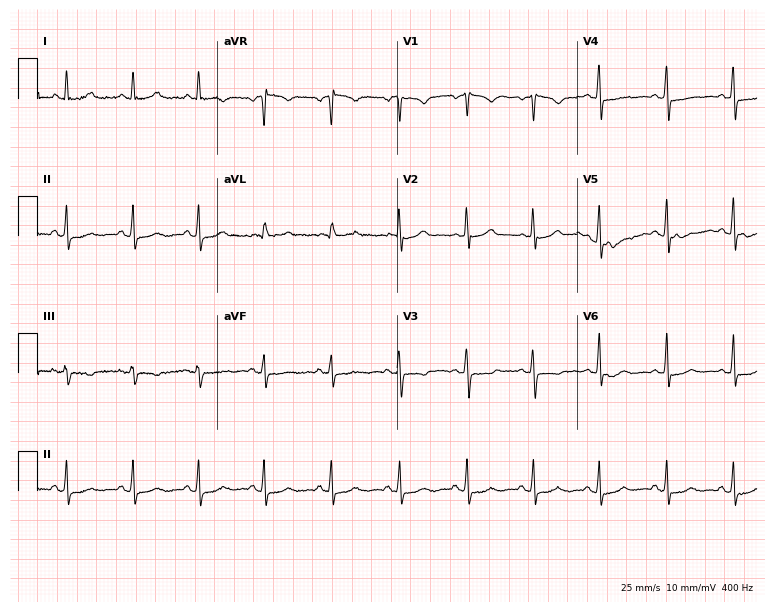
Resting 12-lead electrocardiogram. Patient: a 45-year-old woman. None of these six findings is recorded: first-degree AV block, right bundle branch block, left bundle branch block, sinus bradycardia, atrial fibrillation, sinus tachycardia. Findings outside these six are not listed.